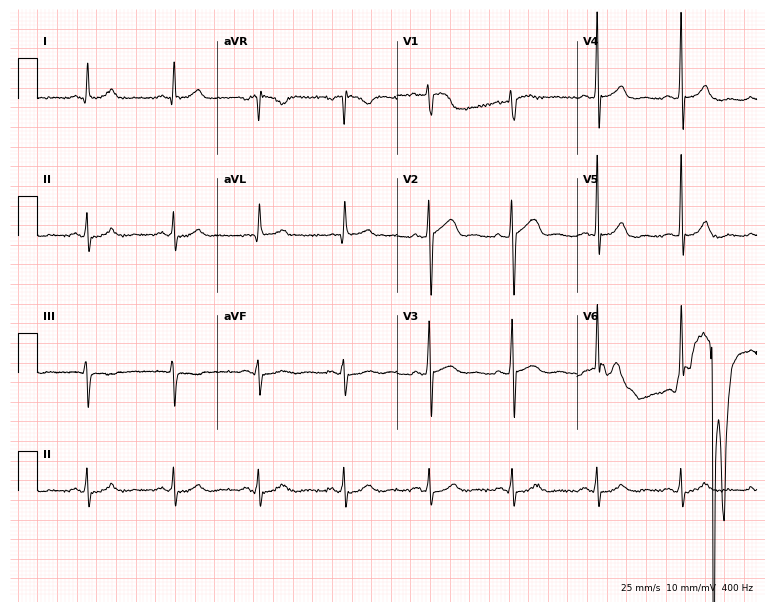
12-lead ECG from a male patient, 58 years old. No first-degree AV block, right bundle branch block, left bundle branch block, sinus bradycardia, atrial fibrillation or sinus tachycardia recorded for this tracing.